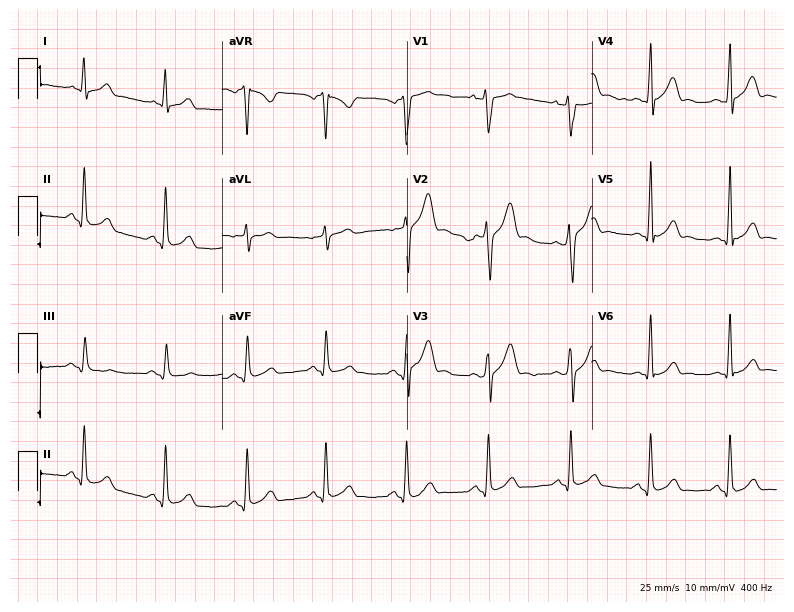
Standard 12-lead ECG recorded from a 30-year-old male patient (7.5-second recording at 400 Hz). Read as a normal ECG.